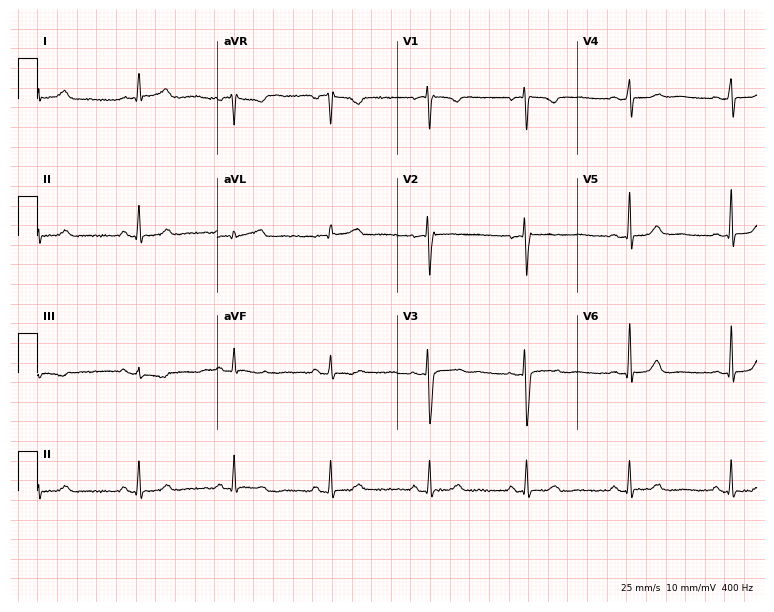
Resting 12-lead electrocardiogram (7.3-second recording at 400 Hz). Patient: a 34-year-old female. None of these six findings is recorded: first-degree AV block, right bundle branch block, left bundle branch block, sinus bradycardia, atrial fibrillation, sinus tachycardia. Other findings, if any, are not listed.